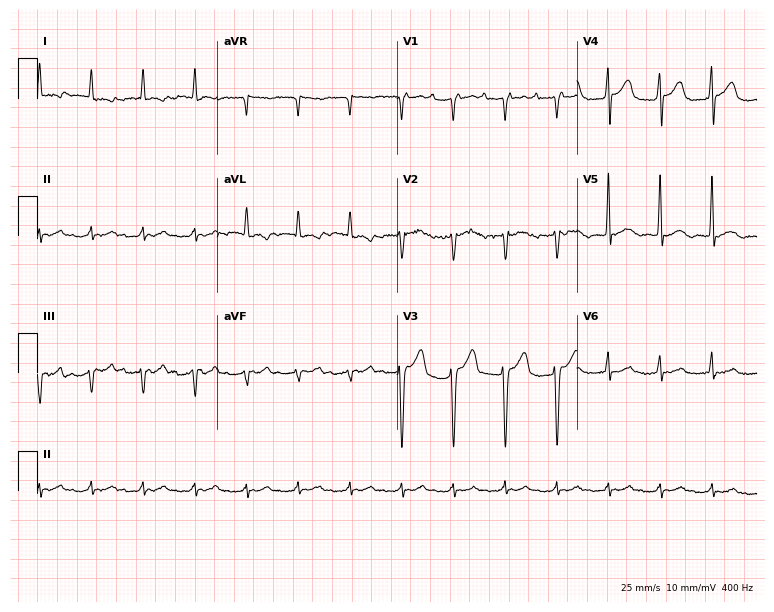
12-lead ECG from a male, 50 years old (7.3-second recording at 400 Hz). Shows first-degree AV block, sinus tachycardia (a sinus rate of 100 beats per minute or more).